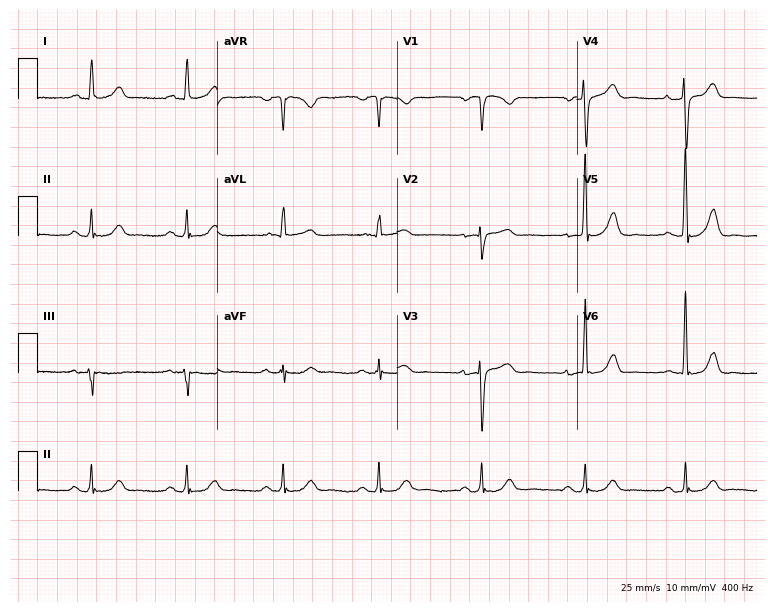
Standard 12-lead ECG recorded from a 72-year-old male patient. Read as a normal ECG.